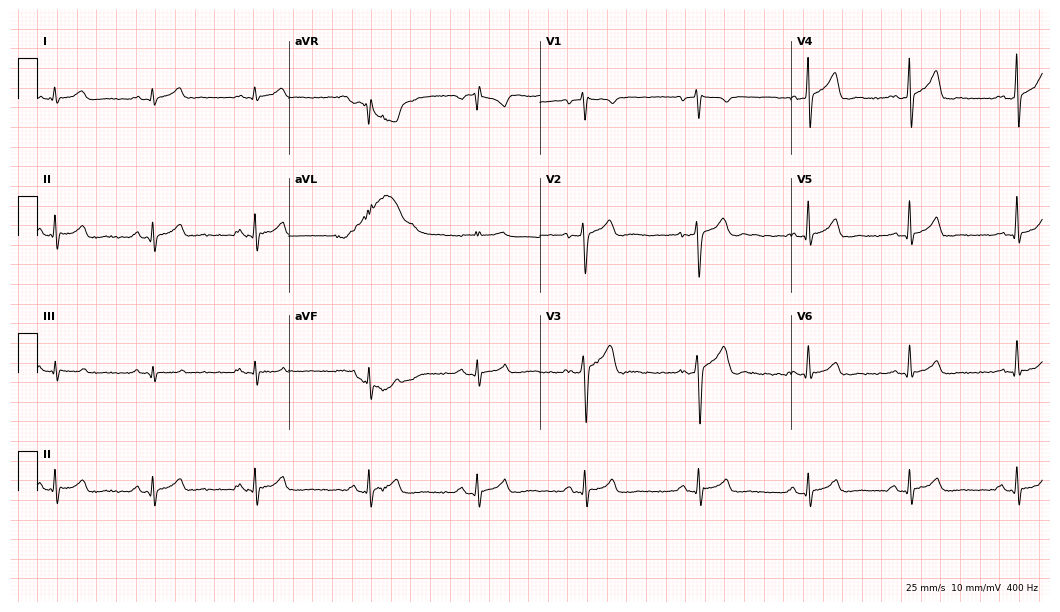
Resting 12-lead electrocardiogram (10.2-second recording at 400 Hz). Patient: a man, 28 years old. Read as a normal ECG.